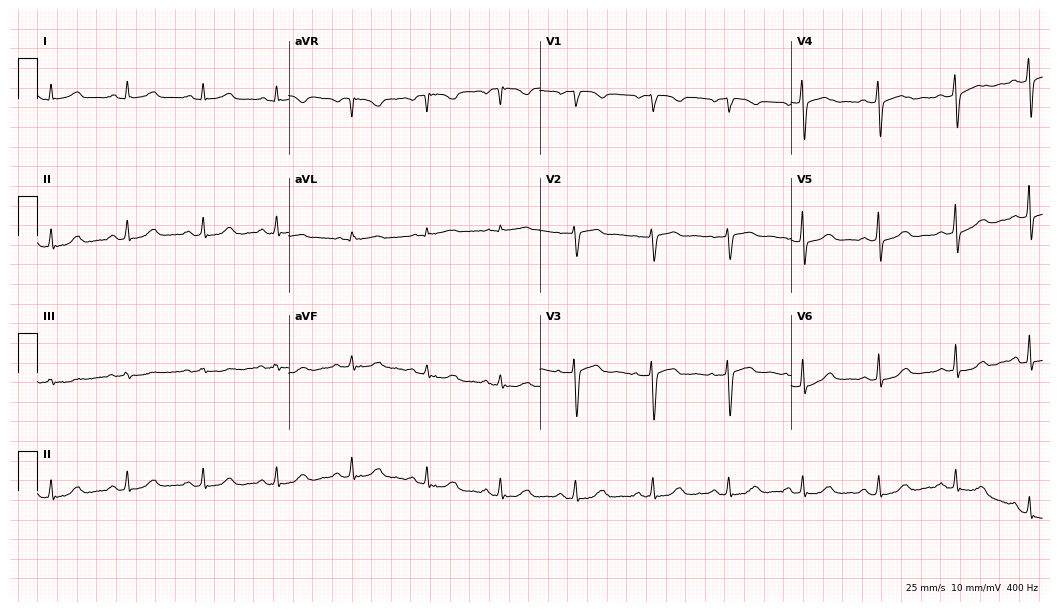
12-lead ECG (10.2-second recording at 400 Hz) from a 42-year-old female patient. Labelled as a normal ECG.